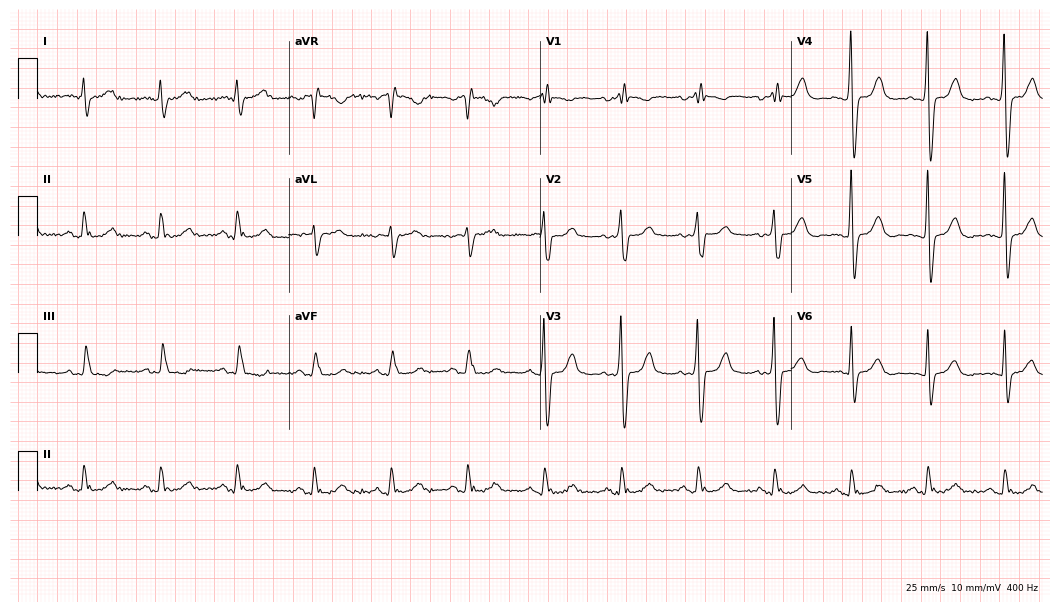
12-lead ECG from a male patient, 74 years old (10.2-second recording at 400 Hz). Shows right bundle branch block (RBBB).